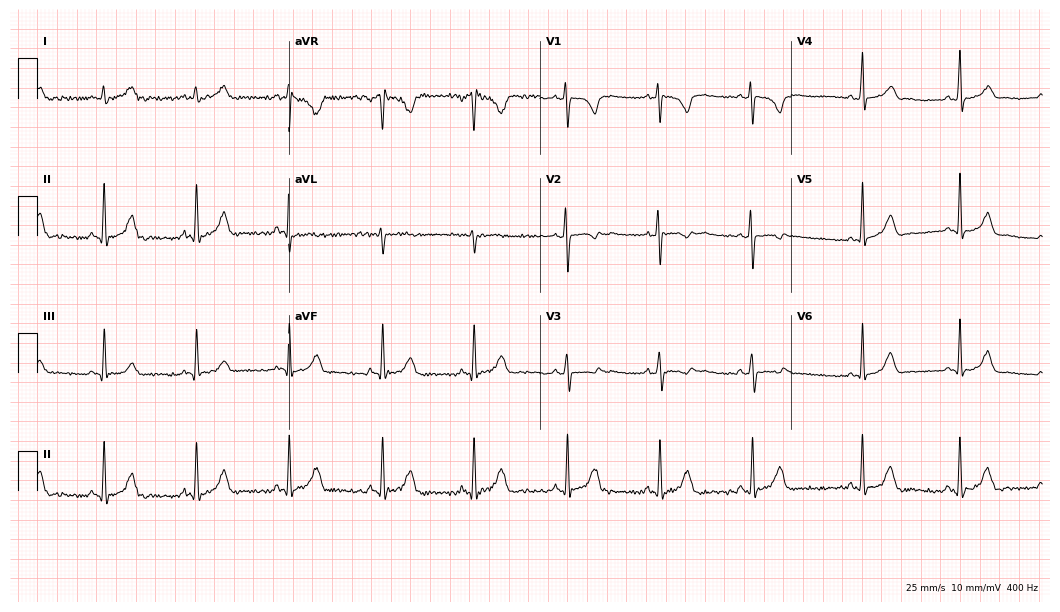
Electrocardiogram, a woman, 17 years old. Overall reading on record: normal ECG.